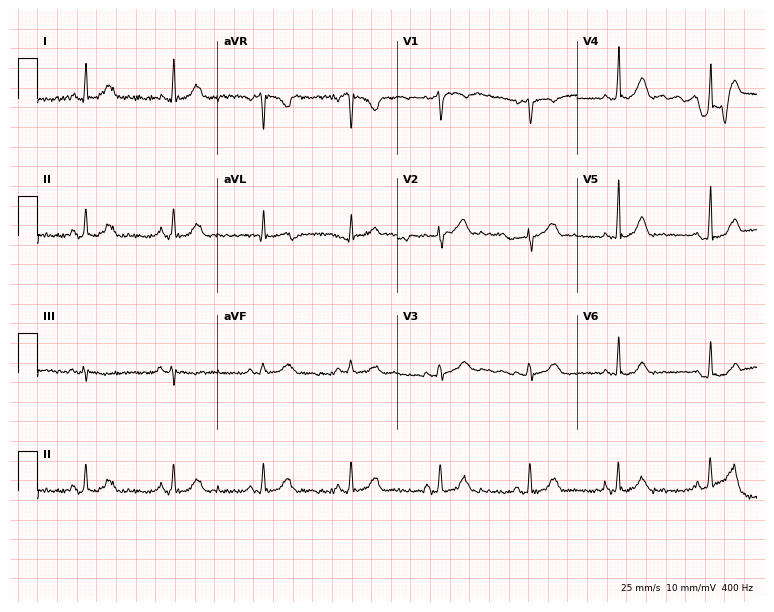
Standard 12-lead ECG recorded from a 31-year-old female. Read as a normal ECG.